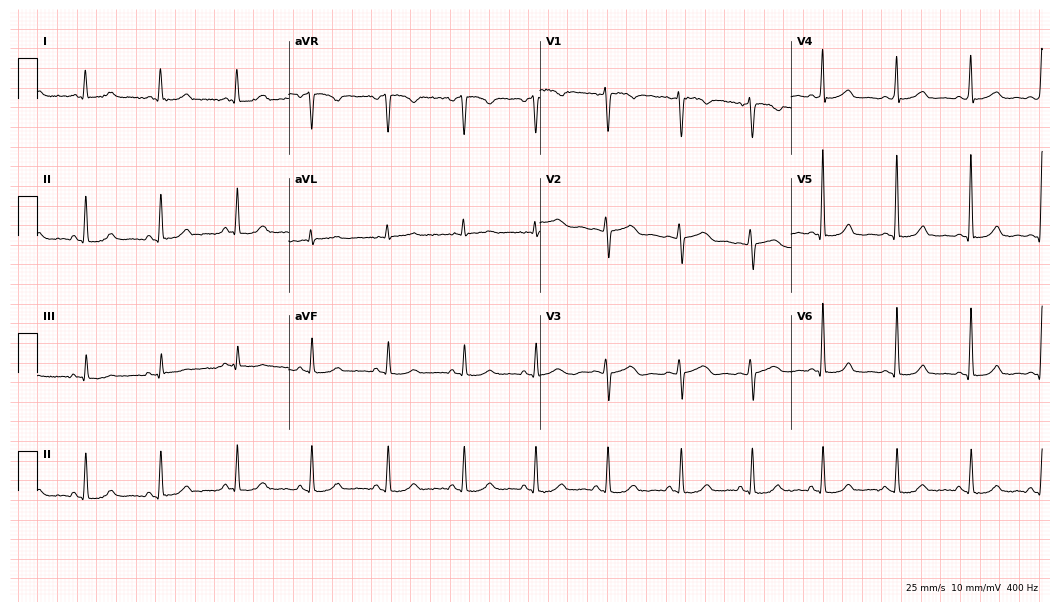
ECG — a 45-year-old female. Labelled as a normal ECG.